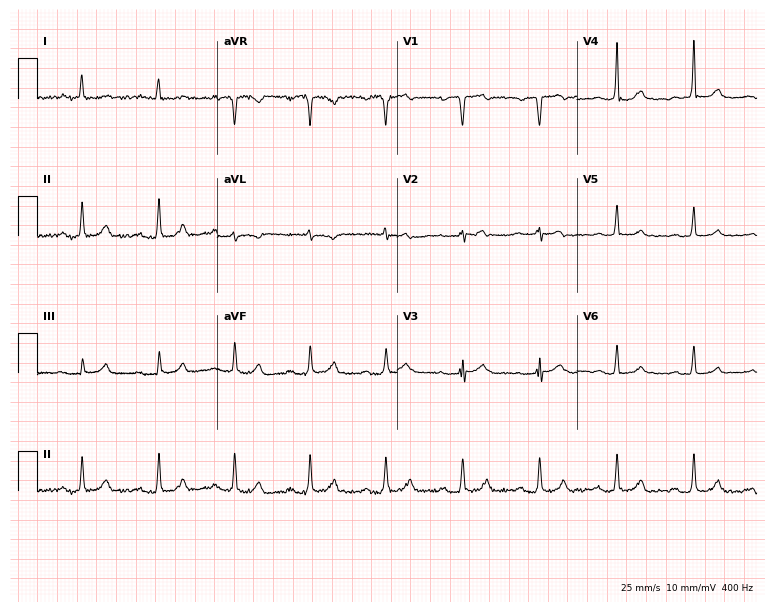
Standard 12-lead ECG recorded from a 76-year-old male (7.3-second recording at 400 Hz). Read as a normal ECG.